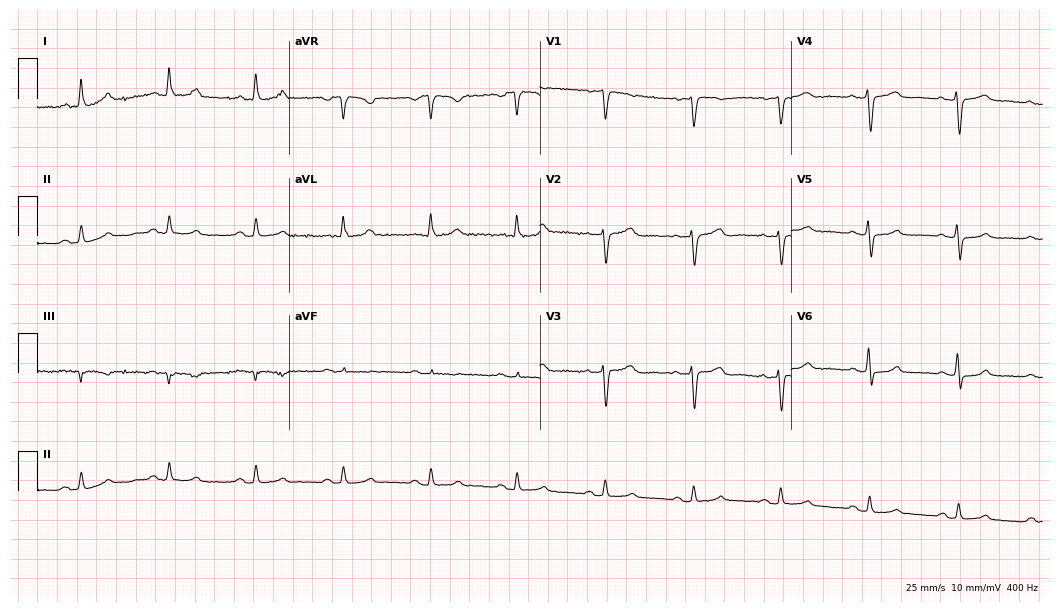
Standard 12-lead ECG recorded from a 55-year-old woman. None of these six findings is recorded: first-degree AV block, right bundle branch block (RBBB), left bundle branch block (LBBB), sinus bradycardia, atrial fibrillation (AF), sinus tachycardia.